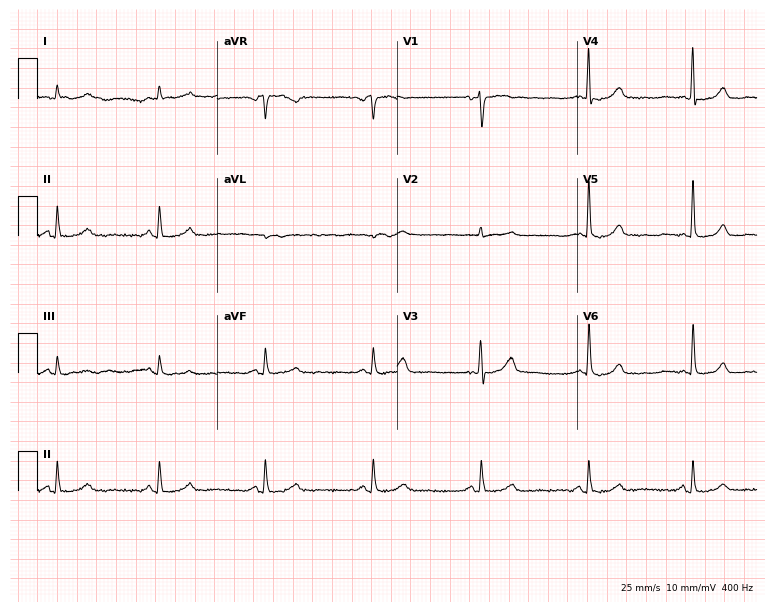
12-lead ECG from a 70-year-old woman. Screened for six findings — first-degree AV block, right bundle branch block, left bundle branch block, sinus bradycardia, atrial fibrillation, sinus tachycardia — none is recorded. Findings outside these six are not listed.